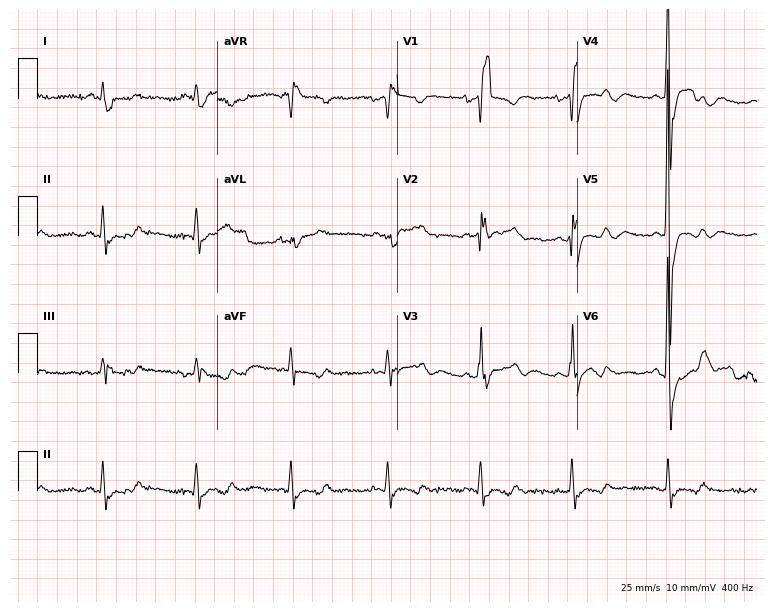
Resting 12-lead electrocardiogram (7.3-second recording at 400 Hz). Patient: an 81-year-old man. The tracing shows right bundle branch block (RBBB).